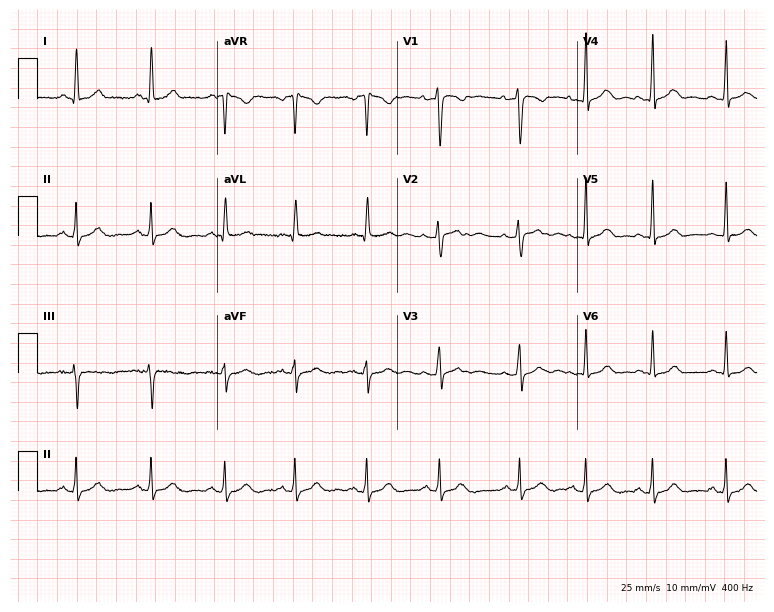
Electrocardiogram, a female, 41 years old. Of the six screened findings (first-degree AV block, right bundle branch block (RBBB), left bundle branch block (LBBB), sinus bradycardia, atrial fibrillation (AF), sinus tachycardia), none is recorded.